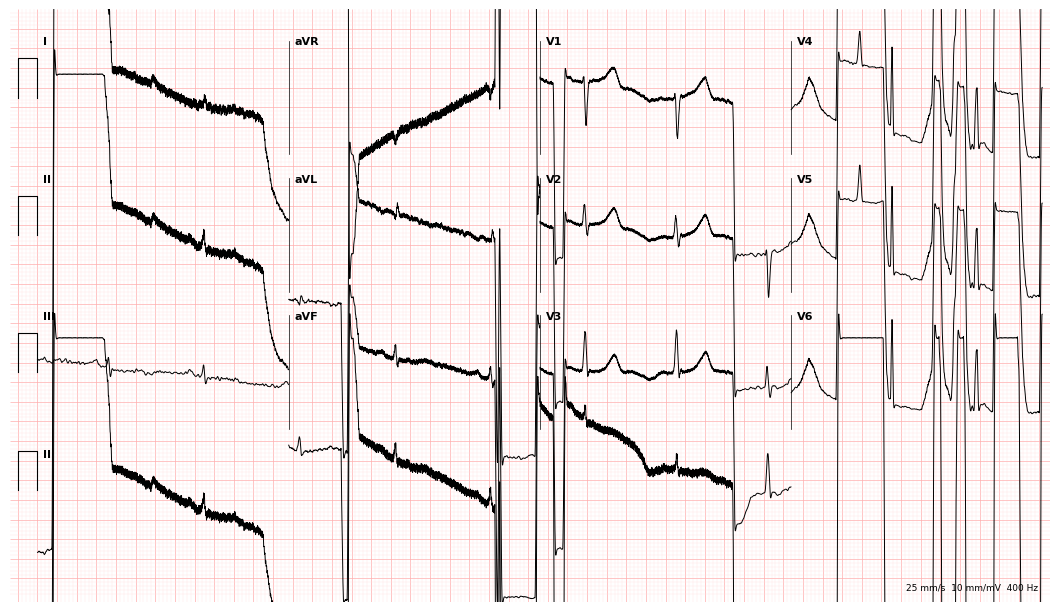
ECG — a 78-year-old male. Screened for six findings — first-degree AV block, right bundle branch block, left bundle branch block, sinus bradycardia, atrial fibrillation, sinus tachycardia — none is recorded. Only these six findings were labelled.